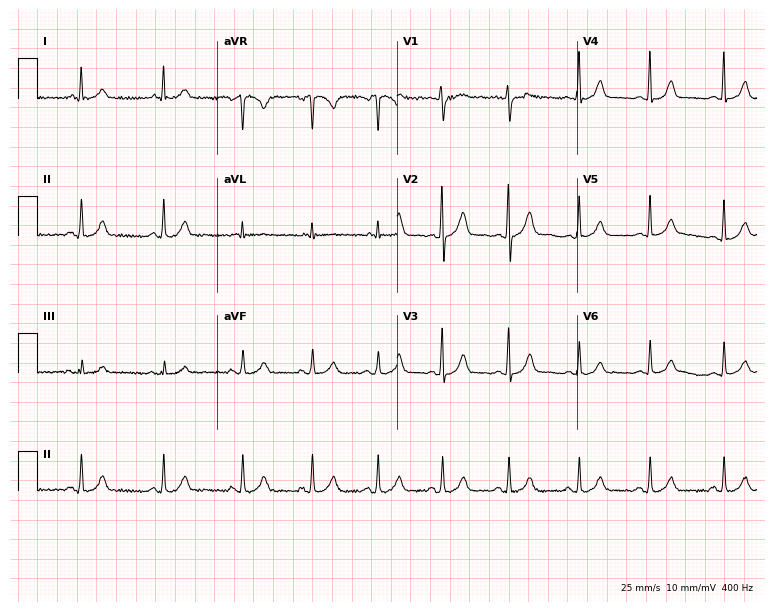
12-lead ECG from a male patient, 34 years old (7.3-second recording at 400 Hz). Recorded interpretation: within normal limits.